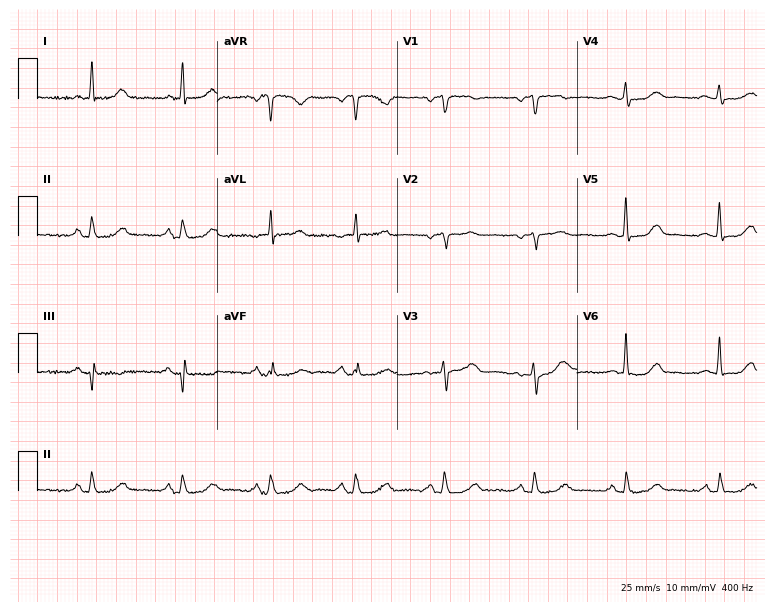
Standard 12-lead ECG recorded from a 62-year-old female patient. Read as a normal ECG.